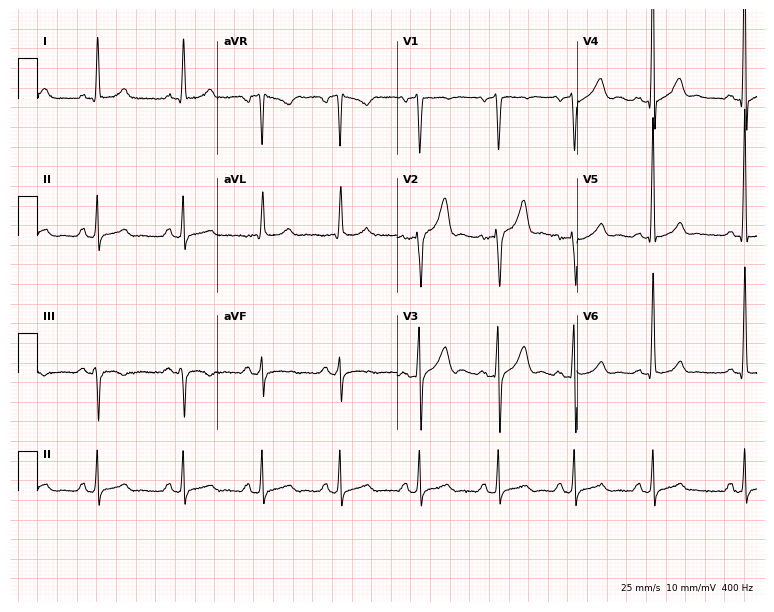
Electrocardiogram (7.3-second recording at 400 Hz), a 55-year-old male patient. Overall reading on record: normal ECG.